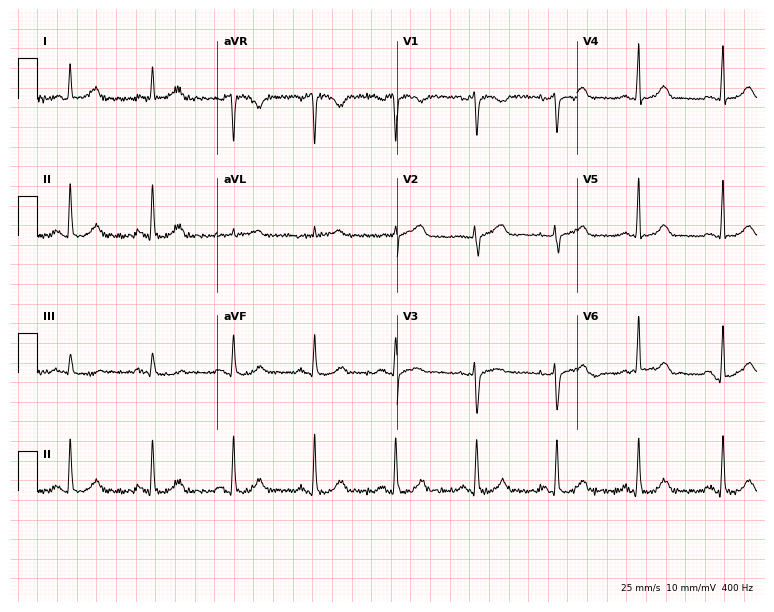
Resting 12-lead electrocardiogram (7.3-second recording at 400 Hz). Patient: a 34-year-old female. Read as a normal ECG.